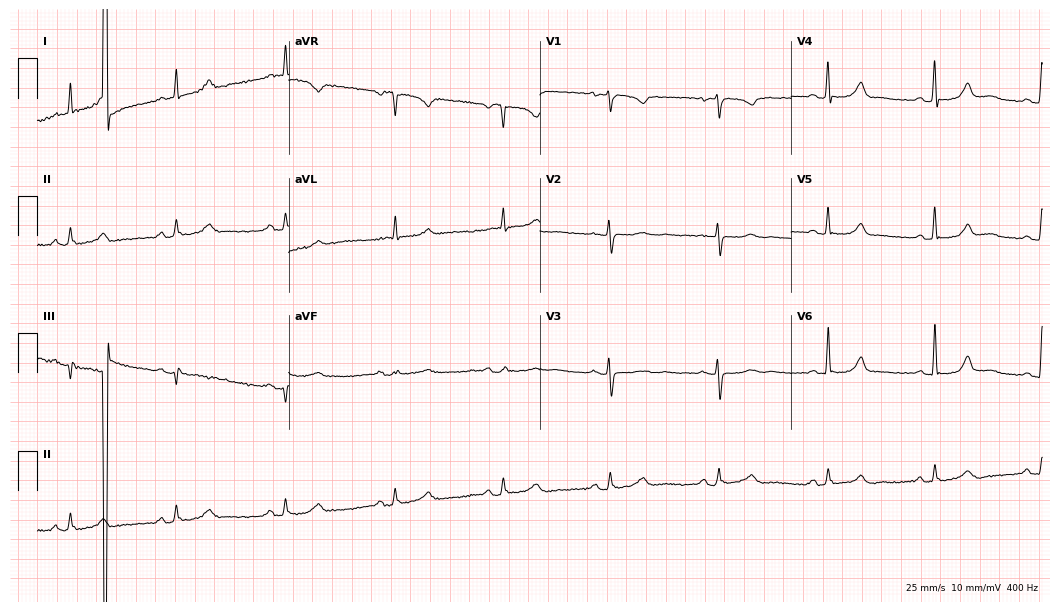
Electrocardiogram (10.2-second recording at 400 Hz), a 78-year-old female patient. Overall reading on record: normal ECG.